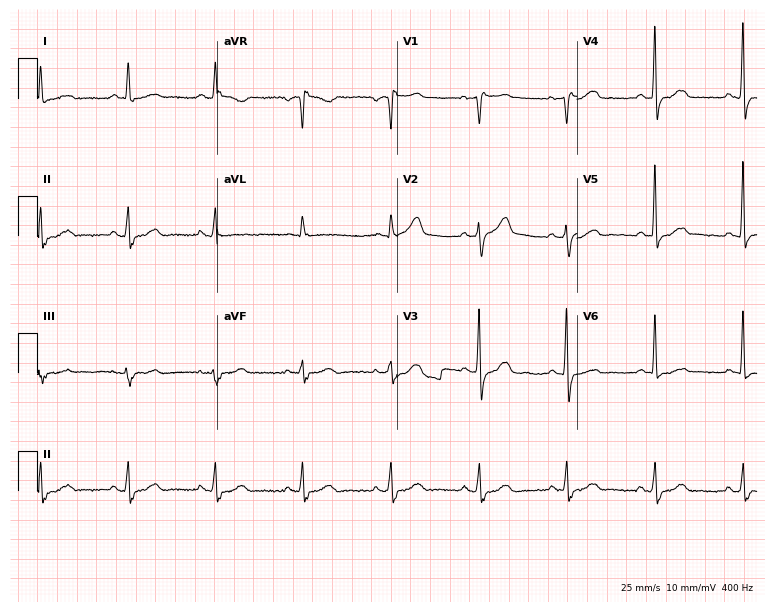
12-lead ECG (7.3-second recording at 400 Hz) from a man, 77 years old. Screened for six findings — first-degree AV block, right bundle branch block, left bundle branch block, sinus bradycardia, atrial fibrillation, sinus tachycardia — none is recorded. Findings outside these six are not listed.